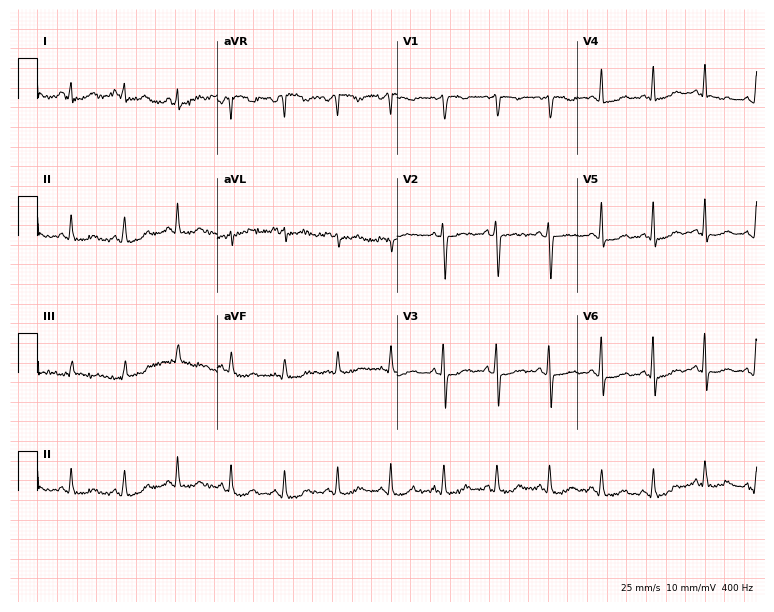
Electrocardiogram, a woman, 40 years old. Interpretation includes sinus tachycardia (a sinus rate of 100 beats per minute or more).